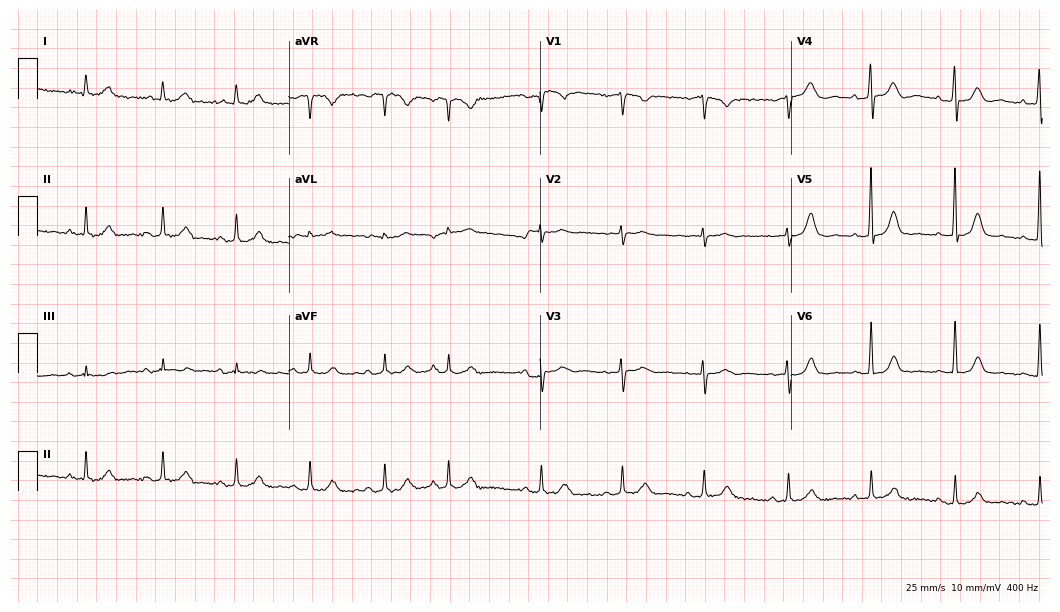
ECG (10.2-second recording at 400 Hz) — a woman, 54 years old. Labelled as a normal ECG.